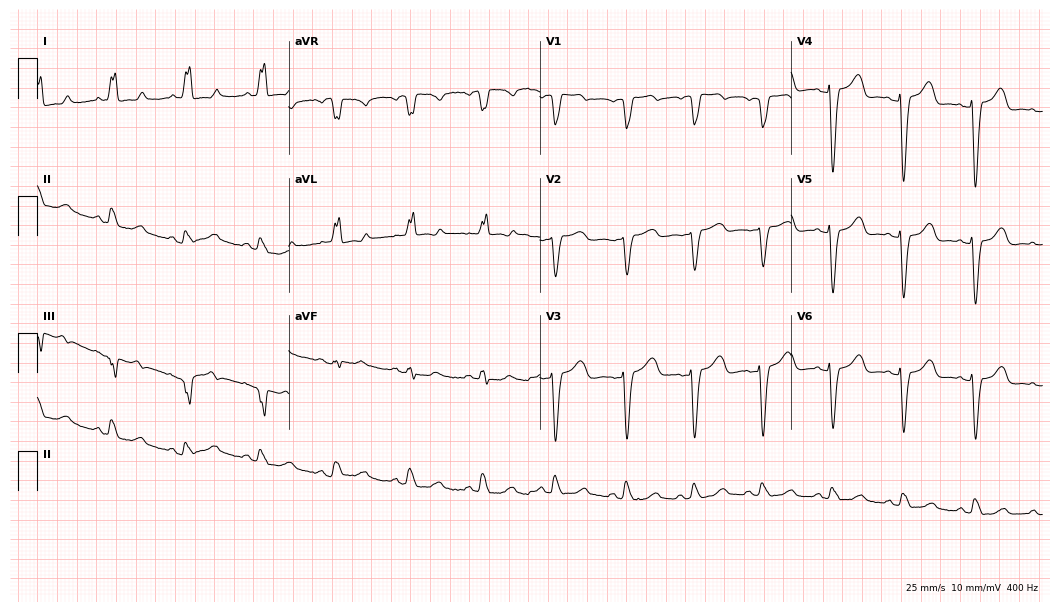
12-lead ECG (10.2-second recording at 400 Hz) from a female patient, 72 years old. Screened for six findings — first-degree AV block, right bundle branch block (RBBB), left bundle branch block (LBBB), sinus bradycardia, atrial fibrillation (AF), sinus tachycardia — none is recorded.